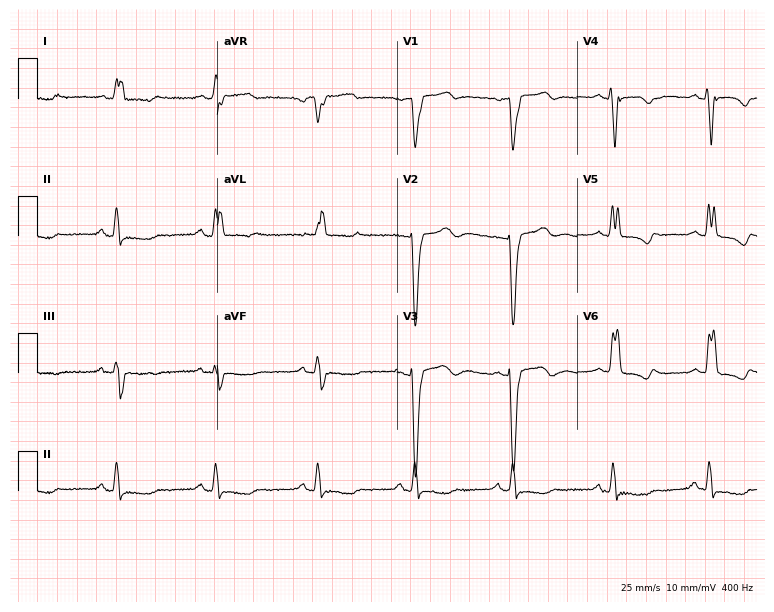
Standard 12-lead ECG recorded from a female patient, 73 years old (7.3-second recording at 400 Hz). The tracing shows left bundle branch block.